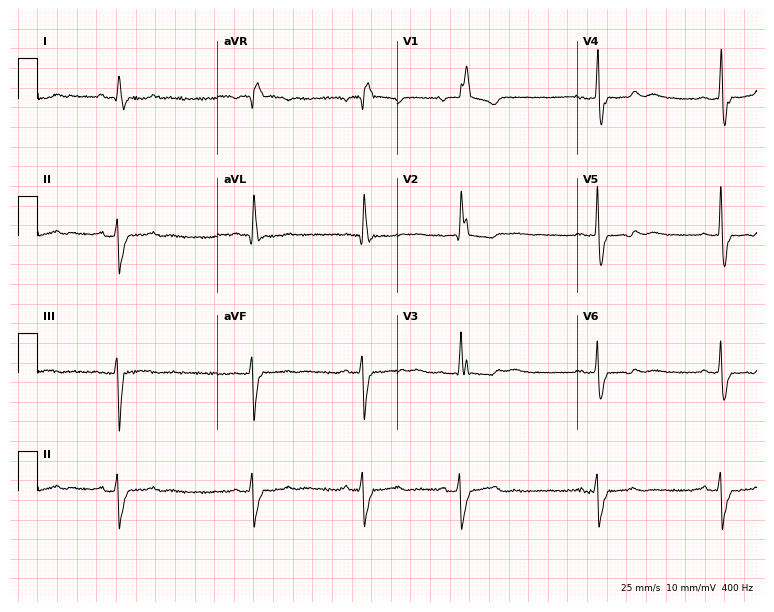
Electrocardiogram (7.3-second recording at 400 Hz), a female, 73 years old. Interpretation includes right bundle branch block.